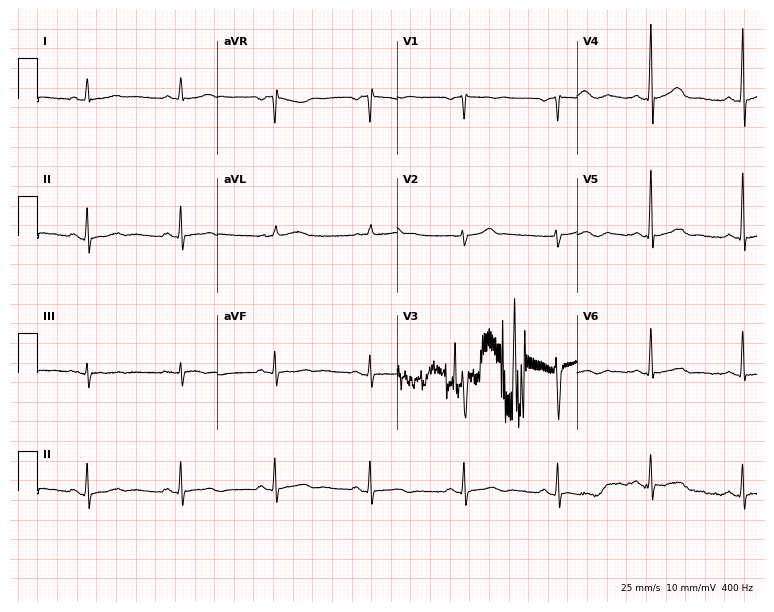
12-lead ECG from a male patient, 56 years old. Screened for six findings — first-degree AV block, right bundle branch block, left bundle branch block, sinus bradycardia, atrial fibrillation, sinus tachycardia — none is recorded. Only these six findings were labelled.